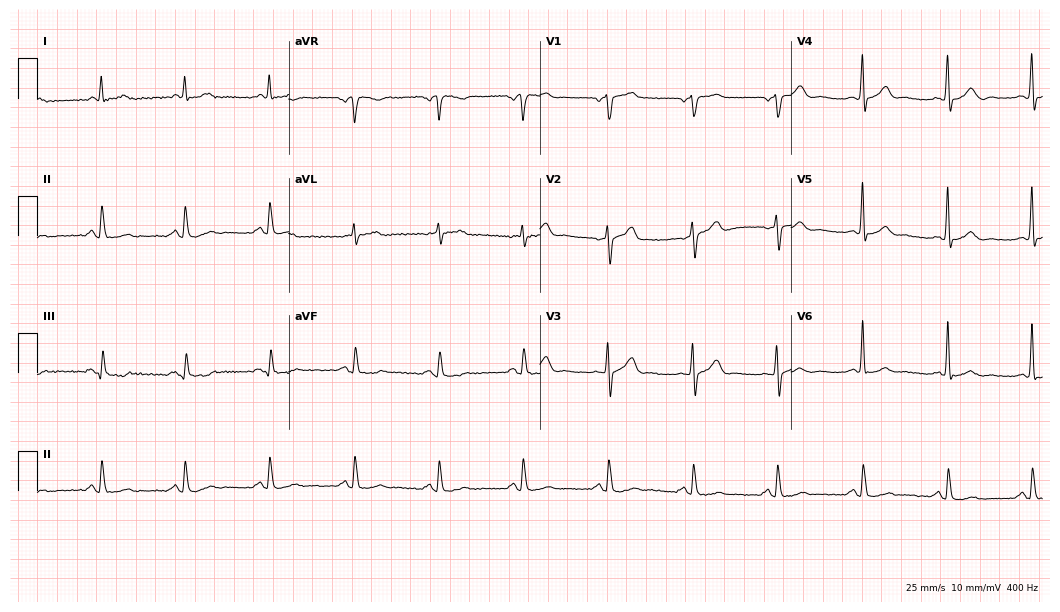
Electrocardiogram (10.2-second recording at 400 Hz), a male patient, 72 years old. Of the six screened findings (first-degree AV block, right bundle branch block, left bundle branch block, sinus bradycardia, atrial fibrillation, sinus tachycardia), none is recorded. Other findings, if any, are not listed.